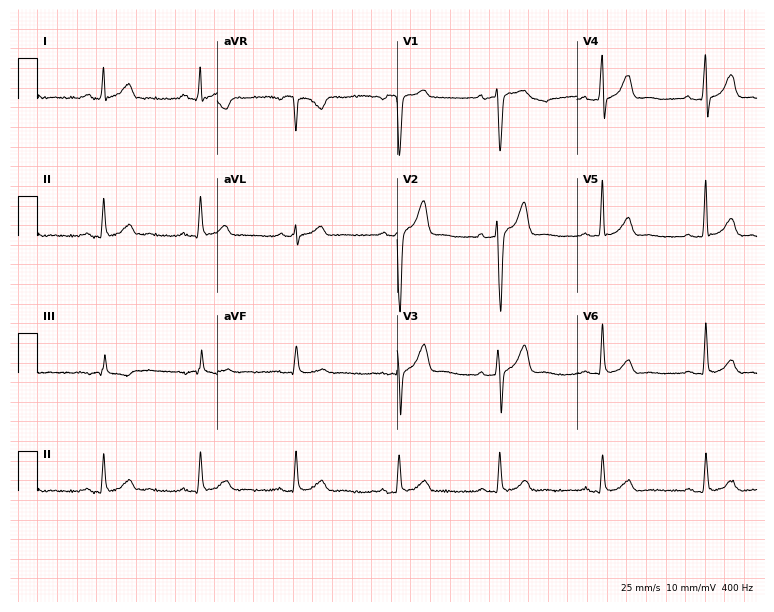
12-lead ECG (7.3-second recording at 400 Hz) from a male, 36 years old. Screened for six findings — first-degree AV block, right bundle branch block, left bundle branch block, sinus bradycardia, atrial fibrillation, sinus tachycardia — none is recorded. Findings outside these six are not listed.